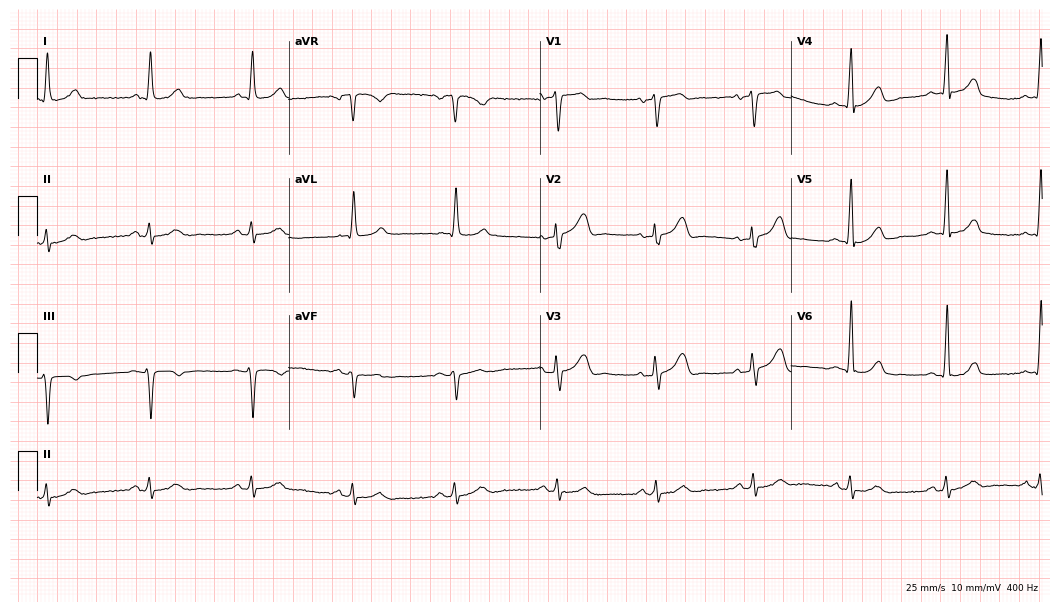
12-lead ECG from a 79-year-old man (10.2-second recording at 400 Hz). Recorded interpretation: within normal limits.